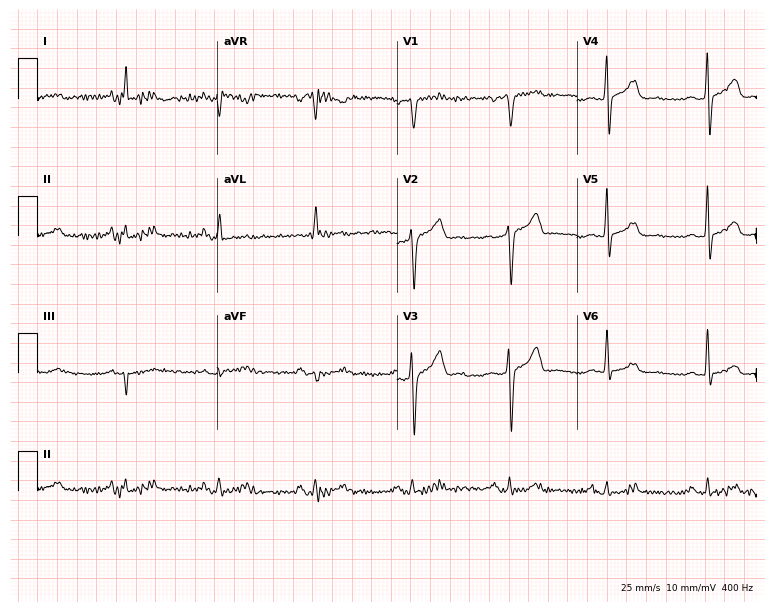
12-lead ECG from a 63-year-old man. Screened for six findings — first-degree AV block, right bundle branch block, left bundle branch block, sinus bradycardia, atrial fibrillation, sinus tachycardia — none is recorded.